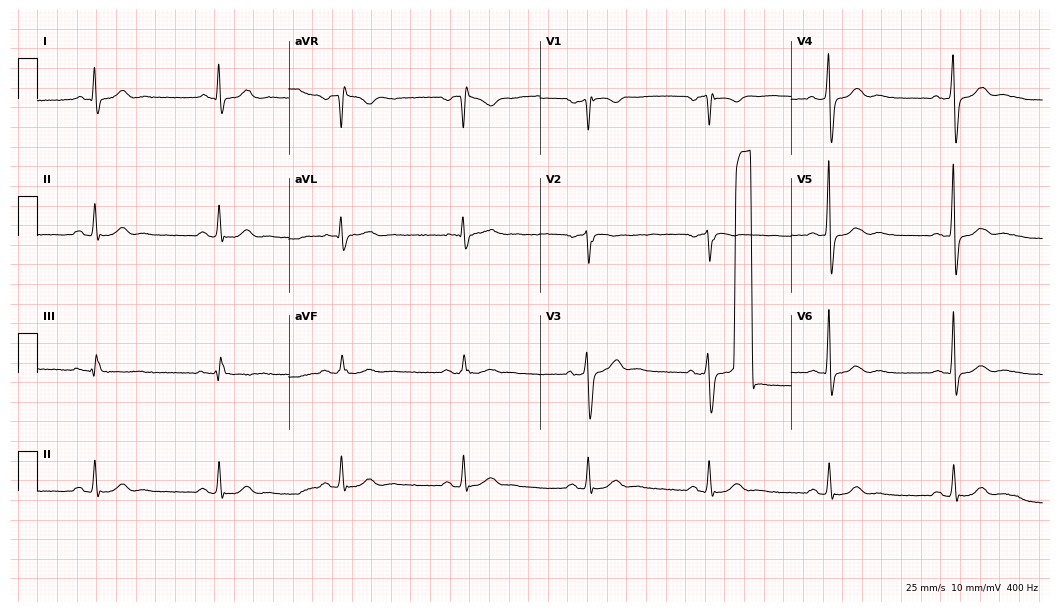
12-lead ECG from a male patient, 63 years old. Shows right bundle branch block, sinus bradycardia (a sinus rate of 50 beats per minute or less).